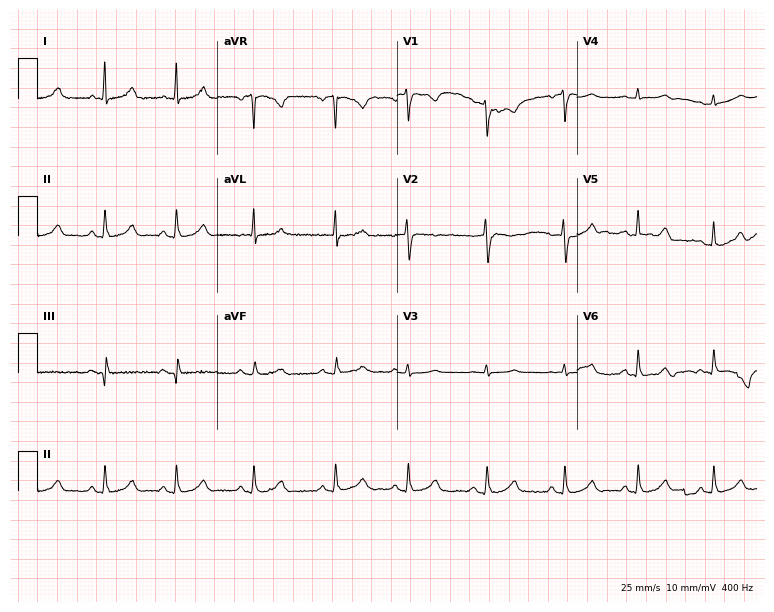
12-lead ECG from a female, 36 years old. Labelled as a normal ECG.